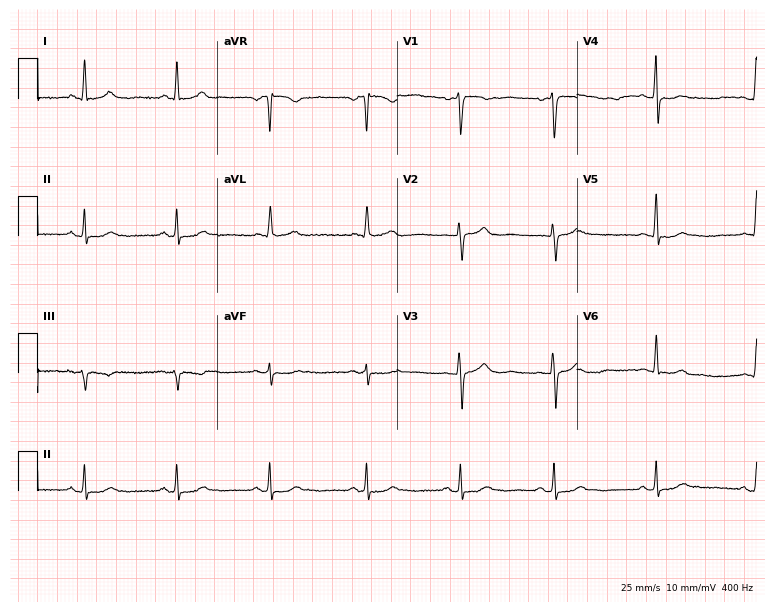
ECG (7.3-second recording at 400 Hz) — a female patient, 52 years old. Labelled as a normal ECG.